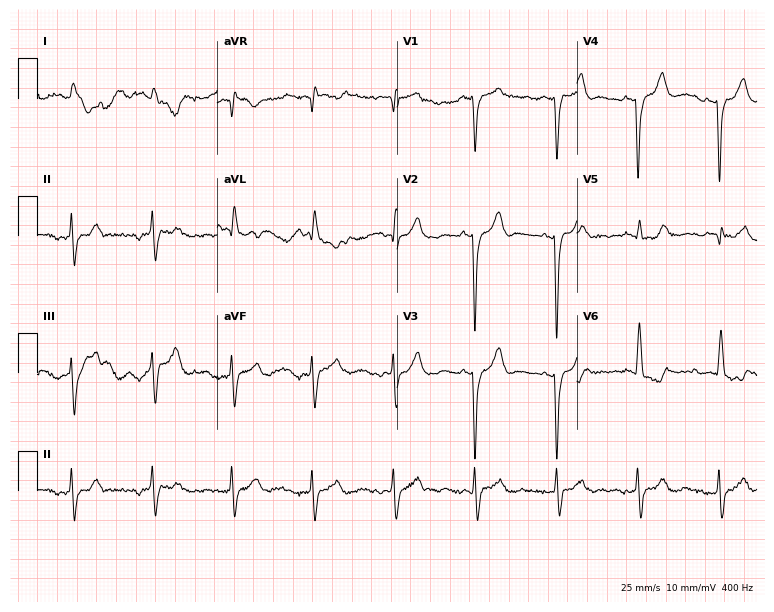
Resting 12-lead electrocardiogram. Patient: an 83-year-old male. The tracing shows first-degree AV block.